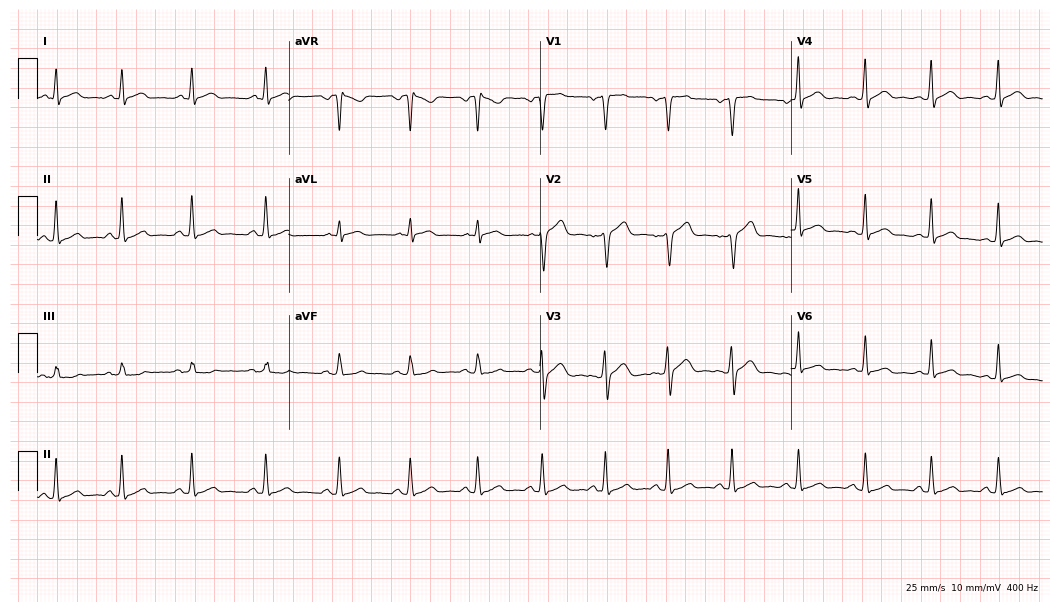
Electrocardiogram (10.2-second recording at 400 Hz), a 24-year-old man. Overall reading on record: normal ECG.